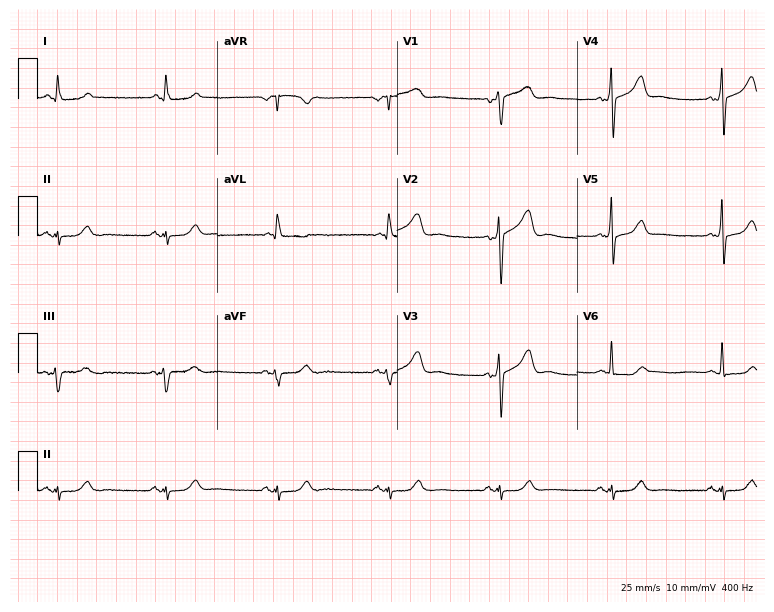
Resting 12-lead electrocardiogram (7.3-second recording at 400 Hz). Patient: a 71-year-old man. None of these six findings is recorded: first-degree AV block, right bundle branch block, left bundle branch block, sinus bradycardia, atrial fibrillation, sinus tachycardia. Other findings, if any, are not listed.